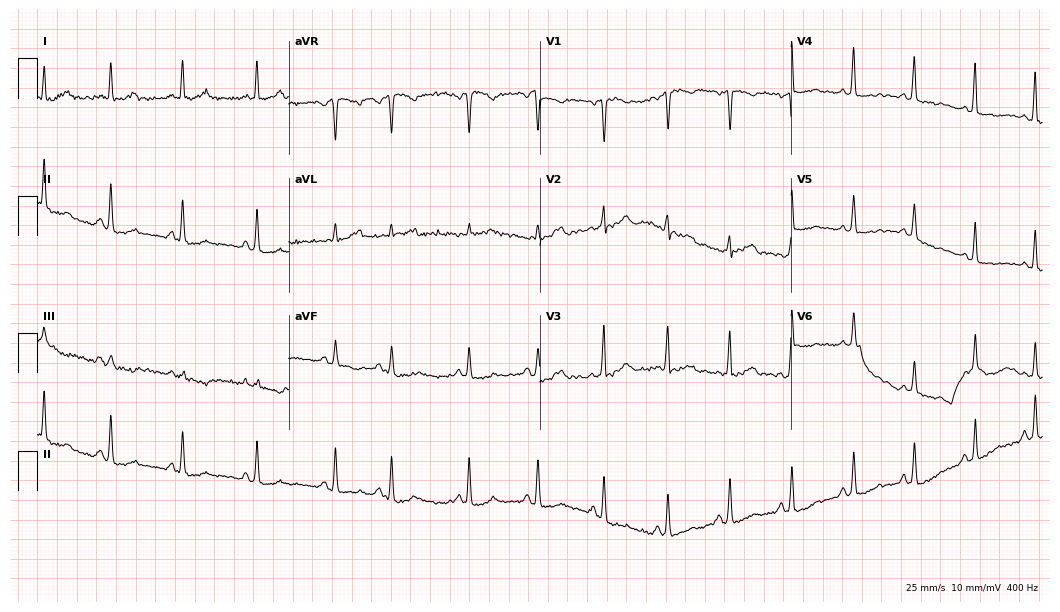
12-lead ECG from a 39-year-old female (10.2-second recording at 400 Hz). No first-degree AV block, right bundle branch block, left bundle branch block, sinus bradycardia, atrial fibrillation or sinus tachycardia recorded for this tracing. Findings outside these six are not listed.